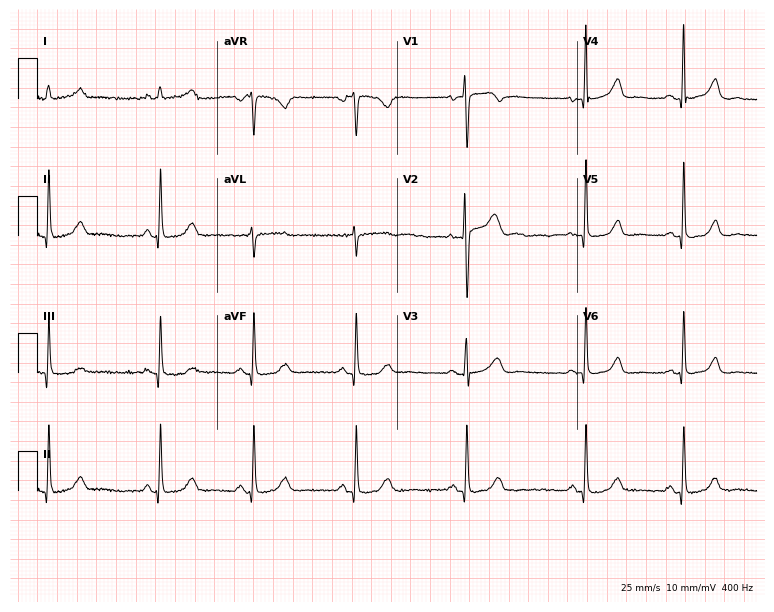
ECG — a woman, 38 years old. Labelled as a normal ECG.